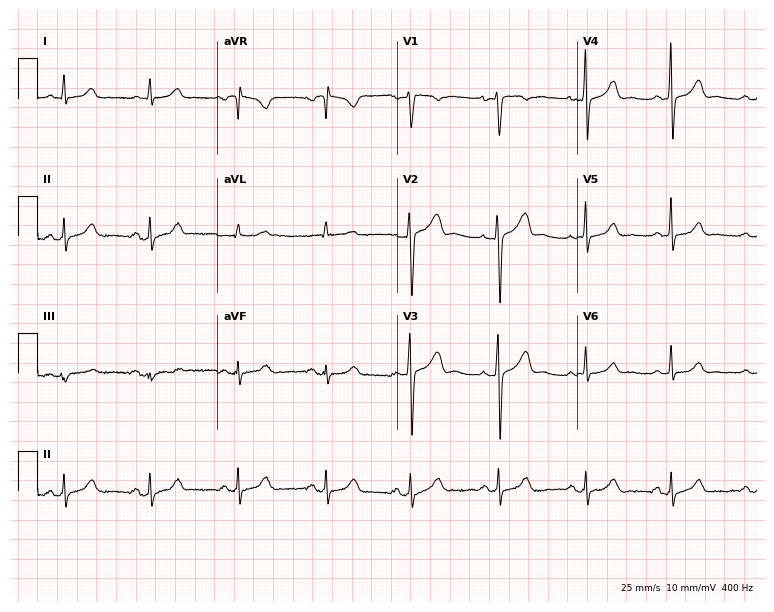
Standard 12-lead ECG recorded from a female, 49 years old. Read as a normal ECG.